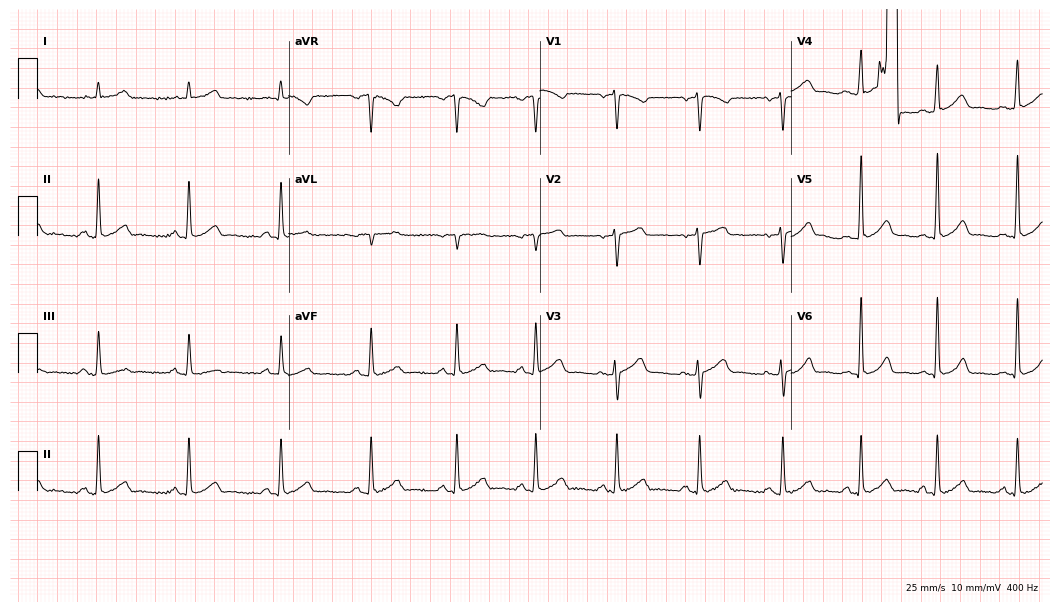
12-lead ECG from a 46-year-old man. Labelled as a normal ECG.